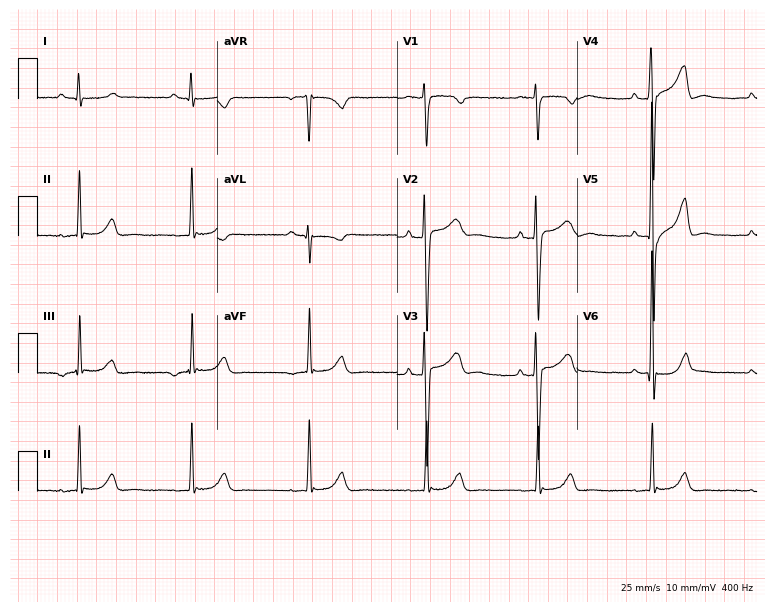
Resting 12-lead electrocardiogram. Patient: a female, 37 years old. None of these six findings is recorded: first-degree AV block, right bundle branch block (RBBB), left bundle branch block (LBBB), sinus bradycardia, atrial fibrillation (AF), sinus tachycardia.